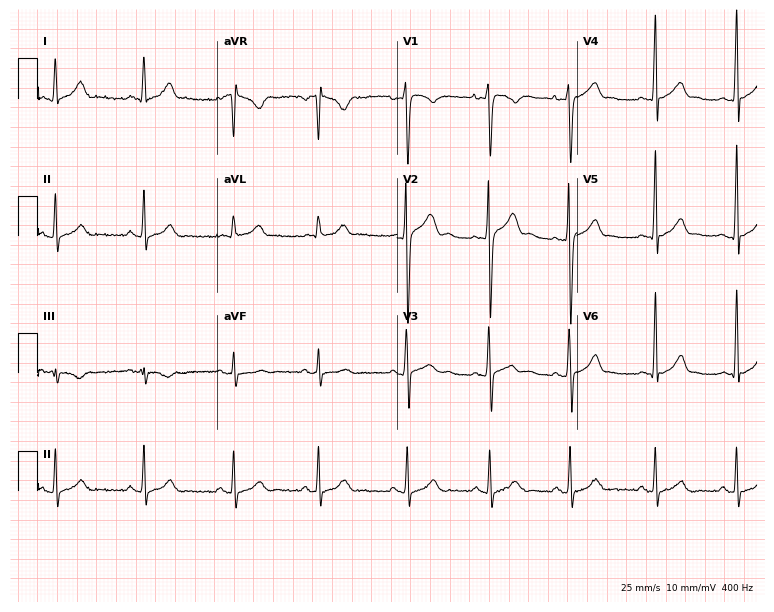
12-lead ECG (7.3-second recording at 400 Hz) from a male, 23 years old. Labelled as a normal ECG.